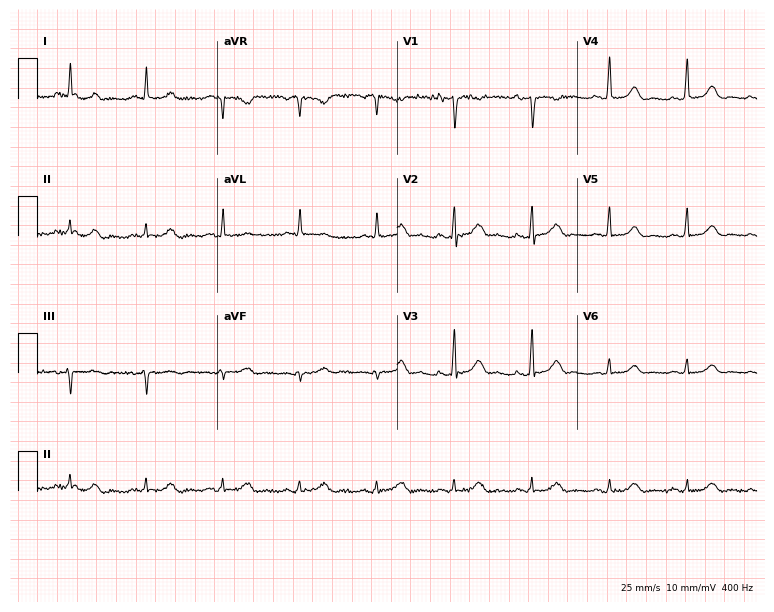
ECG (7.3-second recording at 400 Hz) — a woman, 64 years old. Labelled as a normal ECG.